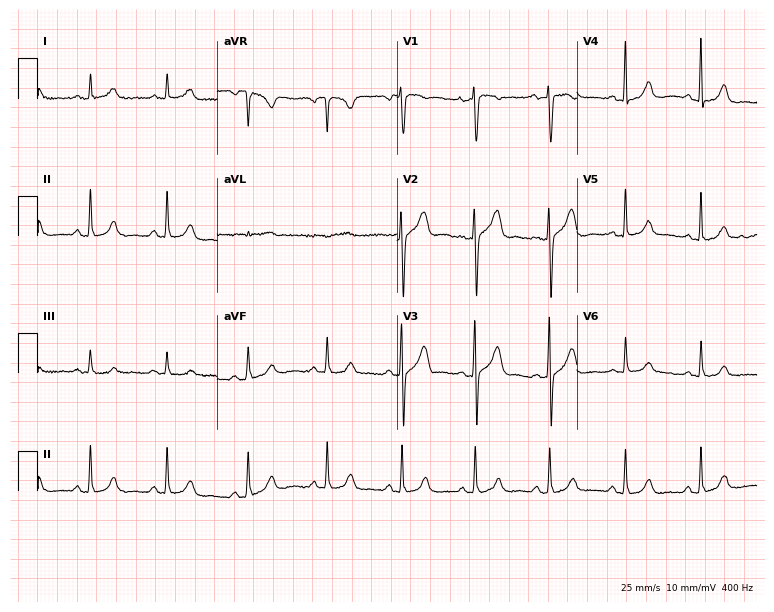
12-lead ECG (7.3-second recording at 400 Hz) from a 57-year-old female. Screened for six findings — first-degree AV block, right bundle branch block, left bundle branch block, sinus bradycardia, atrial fibrillation, sinus tachycardia — none is recorded. Findings outside these six are not listed.